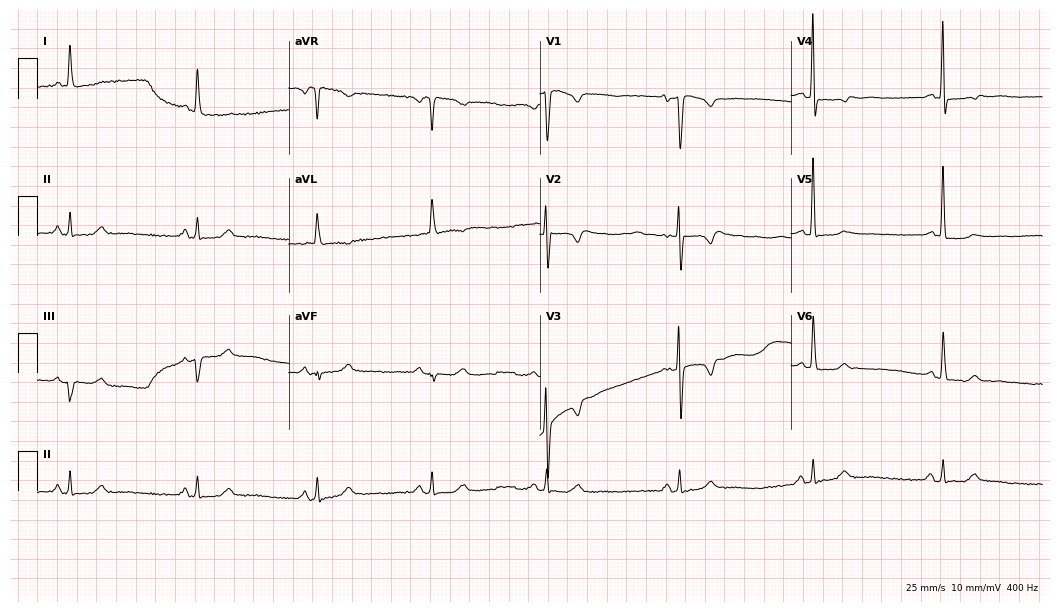
Resting 12-lead electrocardiogram (10.2-second recording at 400 Hz). Patient: a 79-year-old female. None of these six findings is recorded: first-degree AV block, right bundle branch block, left bundle branch block, sinus bradycardia, atrial fibrillation, sinus tachycardia. Other findings, if any, are not listed.